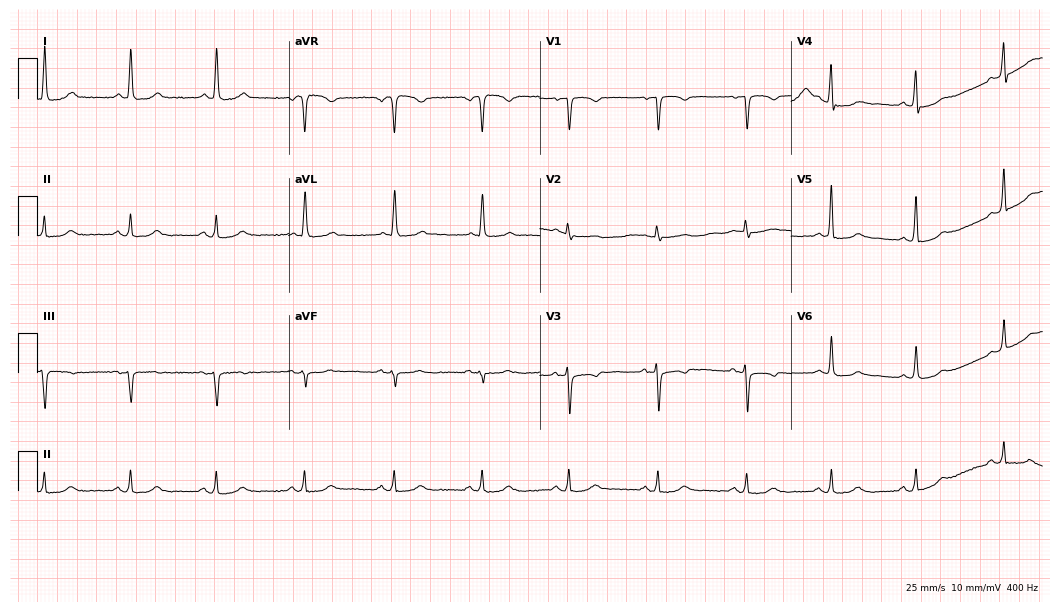
12-lead ECG from a 67-year-old female. No first-degree AV block, right bundle branch block, left bundle branch block, sinus bradycardia, atrial fibrillation or sinus tachycardia recorded for this tracing.